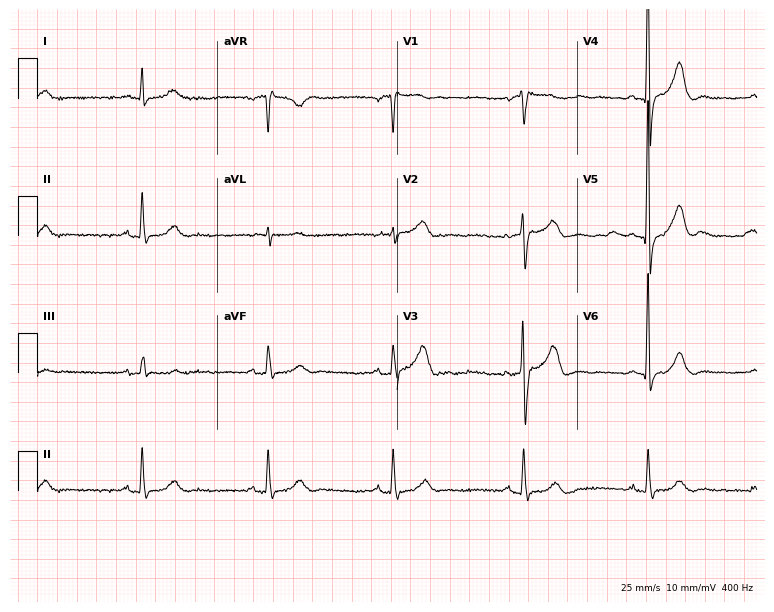
Standard 12-lead ECG recorded from a 59-year-old male patient. The tracing shows sinus bradycardia (a sinus rate of 50 beats per minute or less).